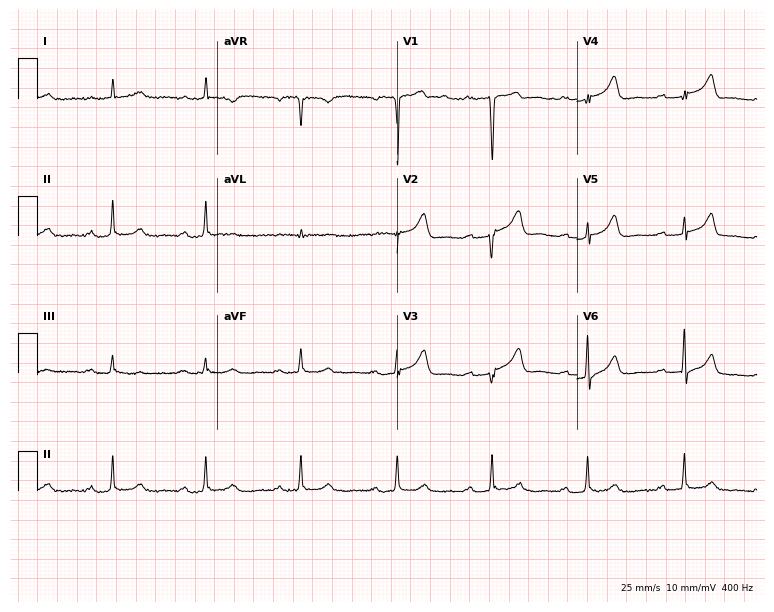
Resting 12-lead electrocardiogram. Patient: a male, 50 years old. The tracing shows first-degree AV block.